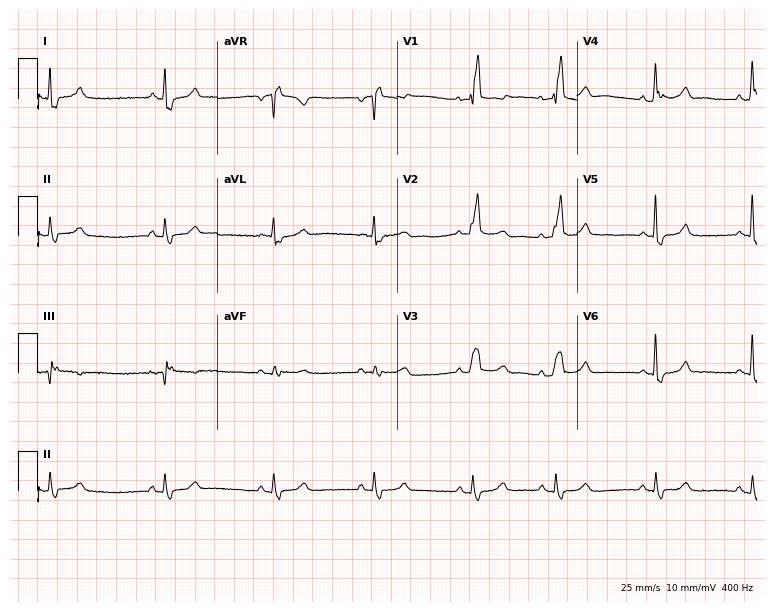
ECG (7.3-second recording at 400 Hz) — a 58-year-old female patient. Findings include right bundle branch block.